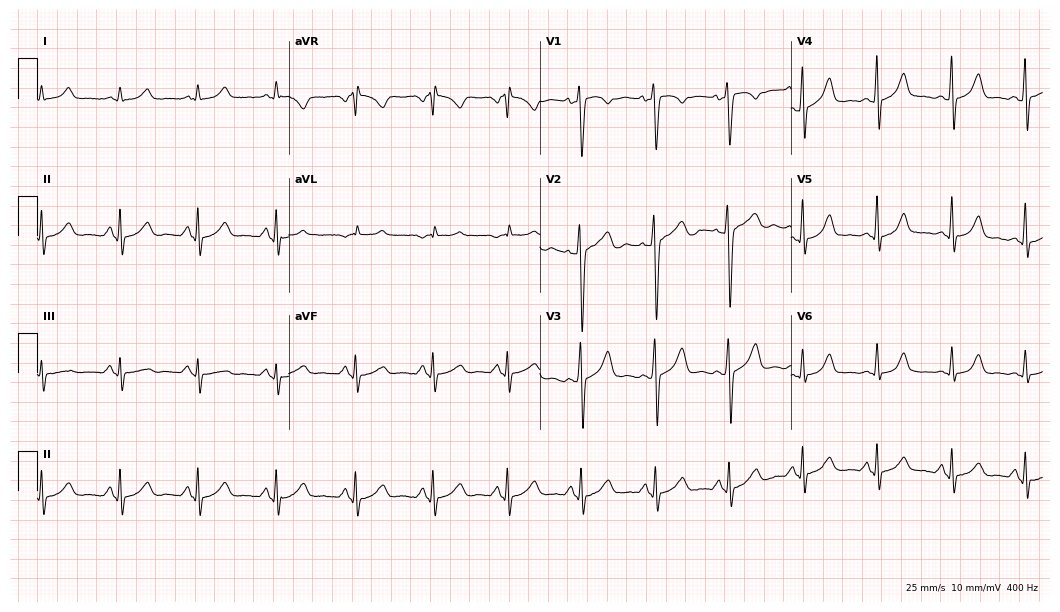
12-lead ECG from a 46-year-old man. Recorded interpretation: within normal limits.